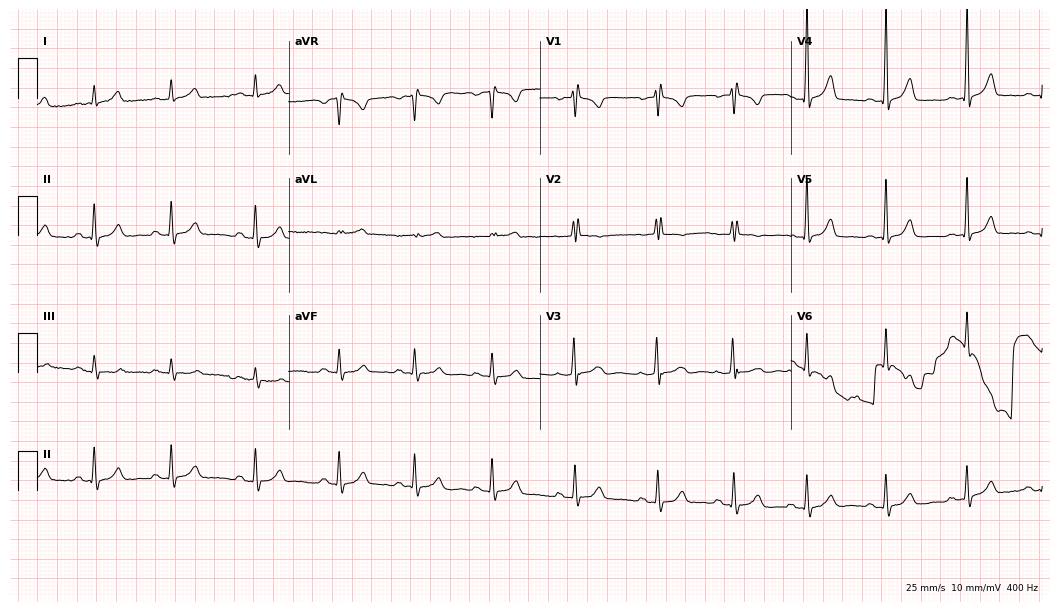
ECG — a woman, 26 years old. Screened for six findings — first-degree AV block, right bundle branch block, left bundle branch block, sinus bradycardia, atrial fibrillation, sinus tachycardia — none is recorded. Only these six findings were labelled.